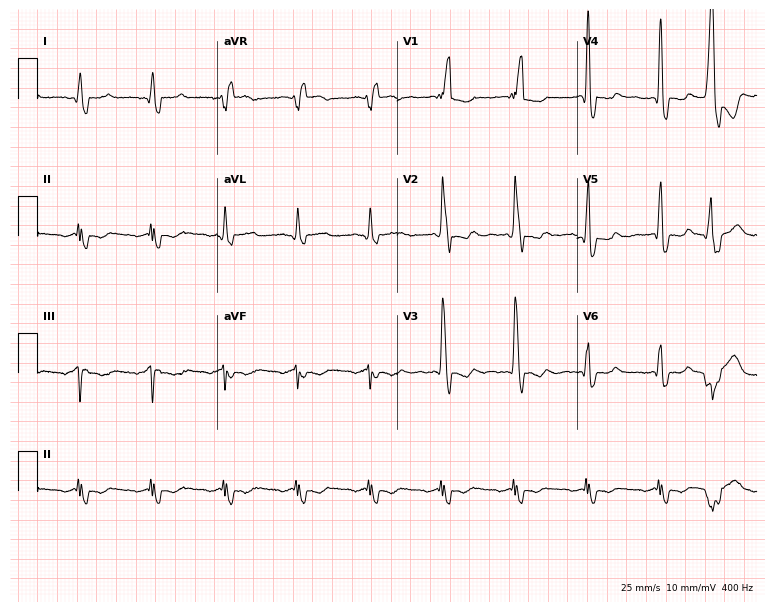
Resting 12-lead electrocardiogram (7.3-second recording at 400 Hz). Patient: a male, 85 years old. The tracing shows right bundle branch block (RBBB), atrial fibrillation (AF).